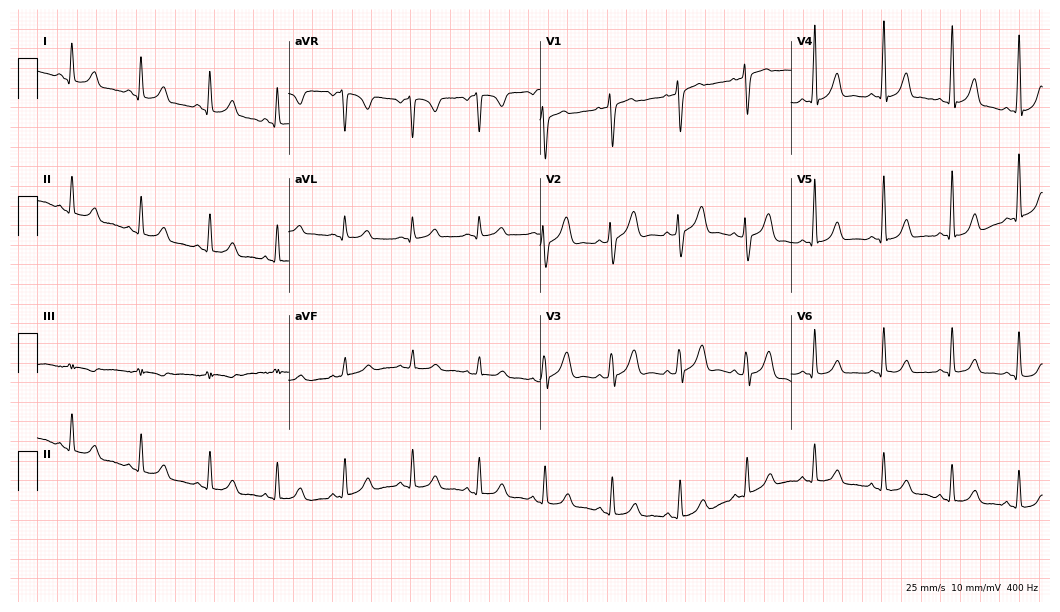
12-lead ECG from a 31-year-old male patient (10.2-second recording at 400 Hz). Recorded interpretation: within normal limits.